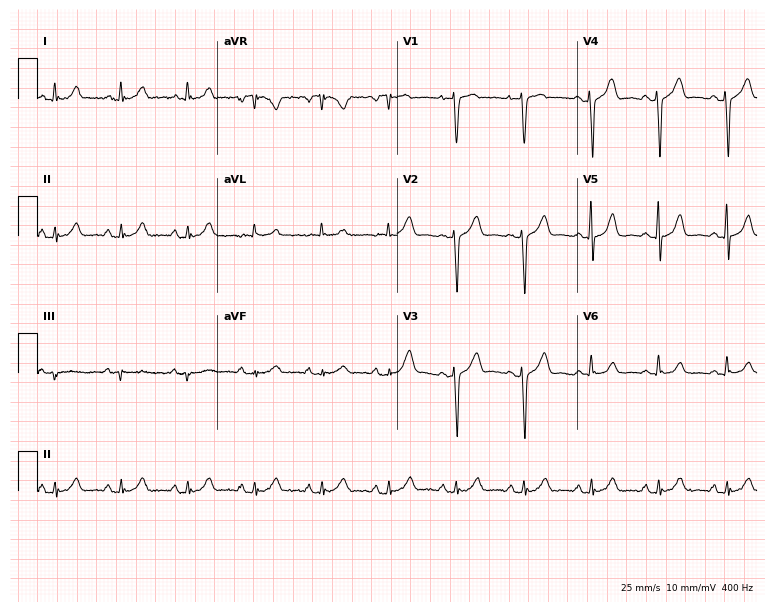
12-lead ECG from a woman, 54 years old. Labelled as a normal ECG.